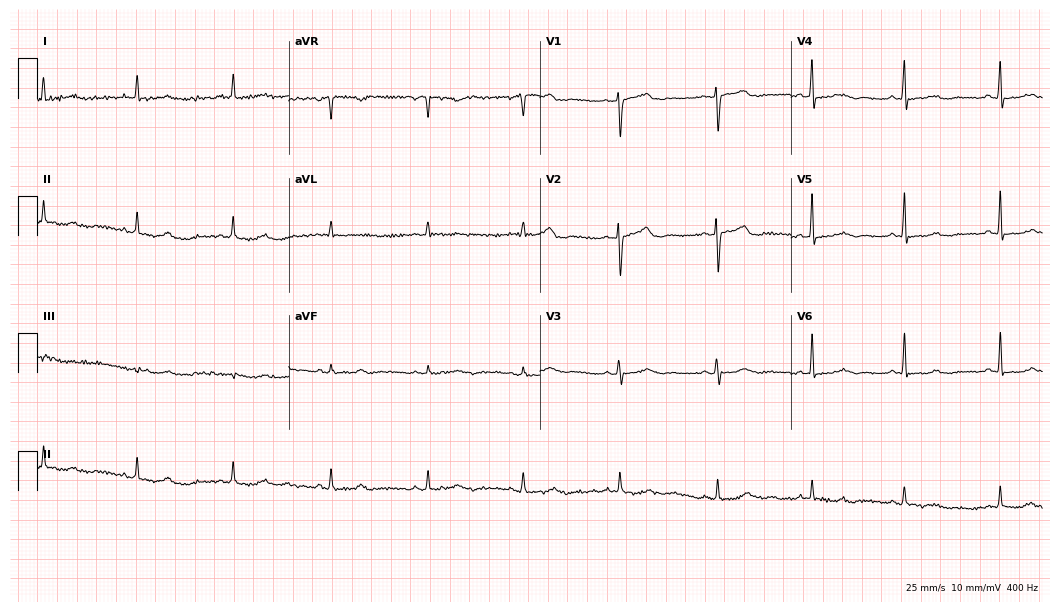
Resting 12-lead electrocardiogram. Patient: a female, 52 years old. None of these six findings is recorded: first-degree AV block, right bundle branch block, left bundle branch block, sinus bradycardia, atrial fibrillation, sinus tachycardia.